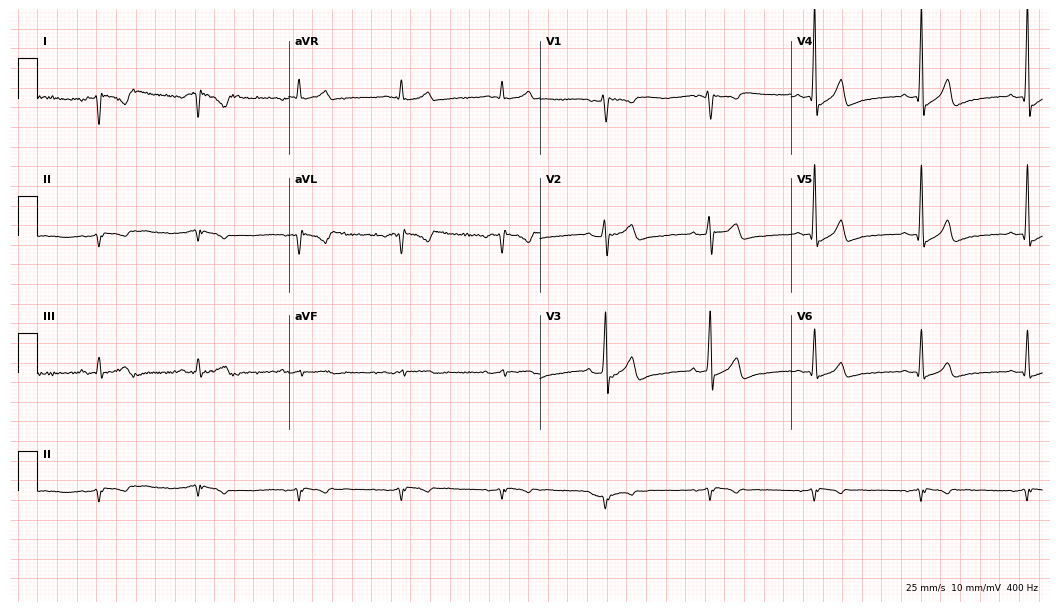
12-lead ECG from a male, 36 years old. No first-degree AV block, right bundle branch block (RBBB), left bundle branch block (LBBB), sinus bradycardia, atrial fibrillation (AF) or sinus tachycardia recorded for this tracing. Findings outside these six are not listed.